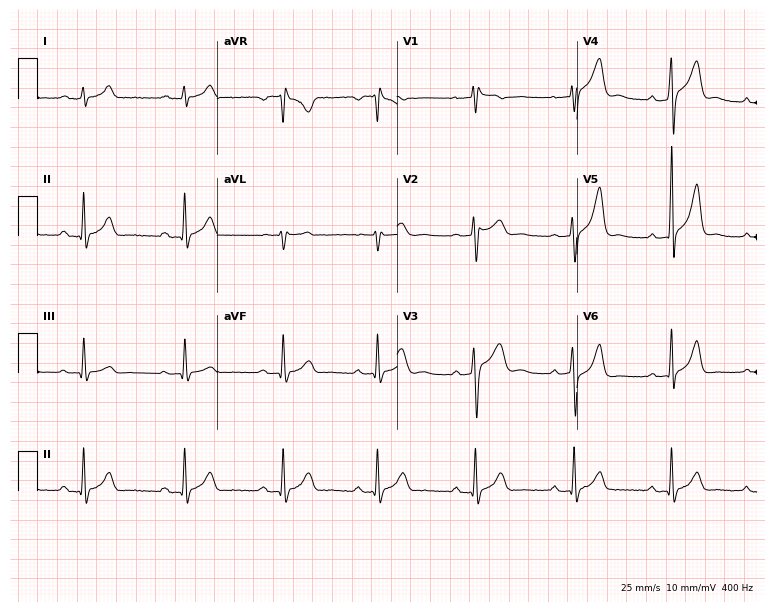
ECG (7.3-second recording at 400 Hz) — a male patient, 33 years old. Screened for six findings — first-degree AV block, right bundle branch block, left bundle branch block, sinus bradycardia, atrial fibrillation, sinus tachycardia — none is recorded. Other findings, if any, are not listed.